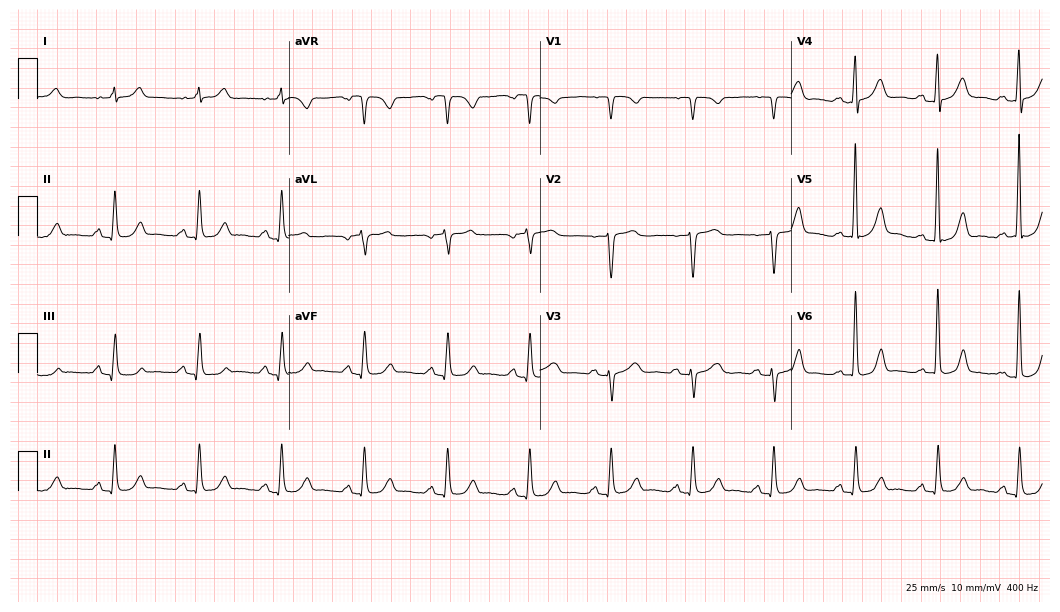
ECG — a 66-year-old female. Labelled as a normal ECG.